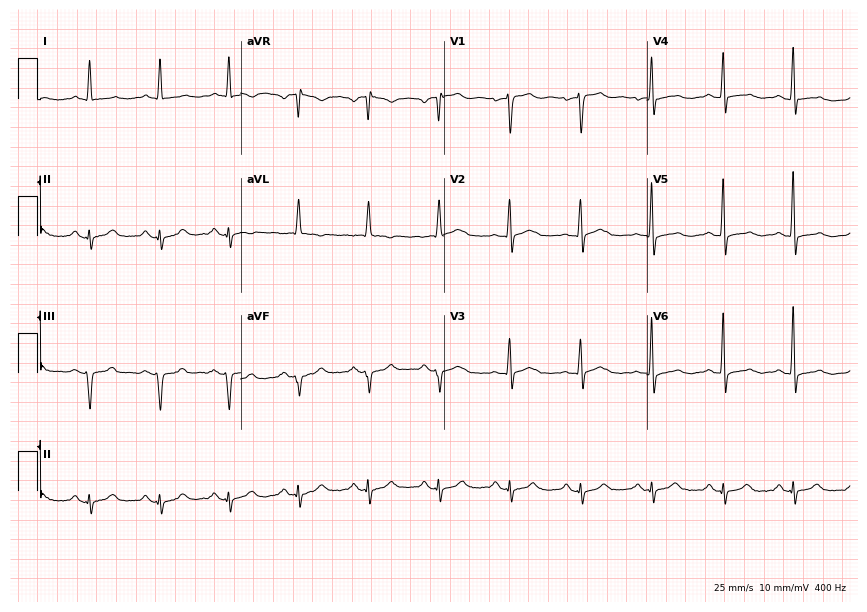
12-lead ECG from a man, 70 years old. Screened for six findings — first-degree AV block, right bundle branch block, left bundle branch block, sinus bradycardia, atrial fibrillation, sinus tachycardia — none is recorded.